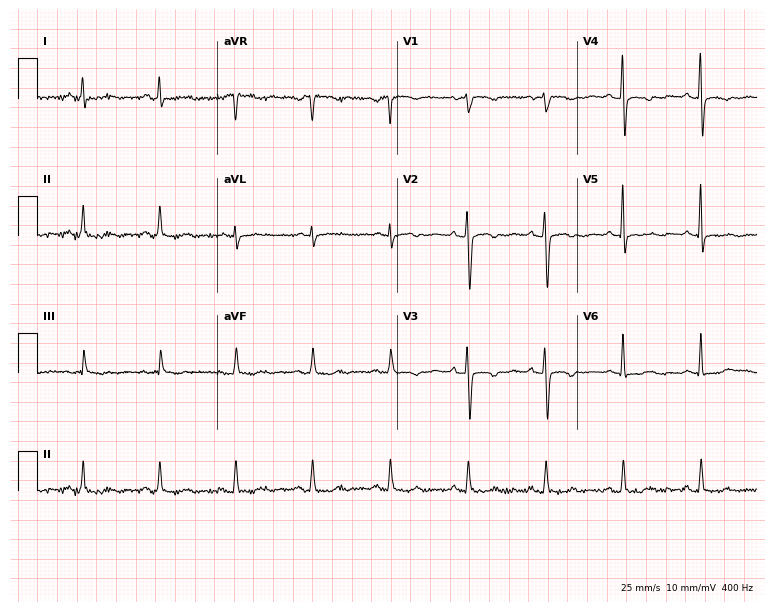
Standard 12-lead ECG recorded from a female, 50 years old. None of these six findings is recorded: first-degree AV block, right bundle branch block (RBBB), left bundle branch block (LBBB), sinus bradycardia, atrial fibrillation (AF), sinus tachycardia.